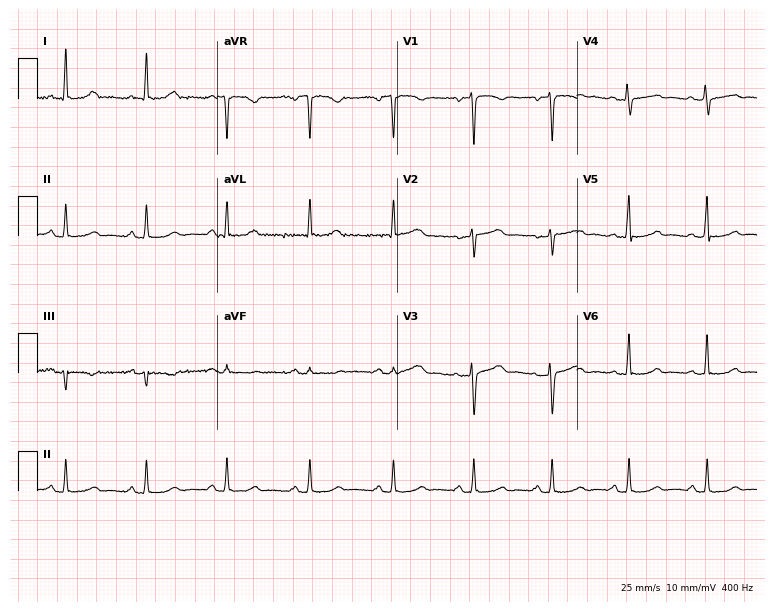
12-lead ECG from a 42-year-old female patient (7.3-second recording at 400 Hz). No first-degree AV block, right bundle branch block (RBBB), left bundle branch block (LBBB), sinus bradycardia, atrial fibrillation (AF) or sinus tachycardia recorded for this tracing. Only these six findings were labelled.